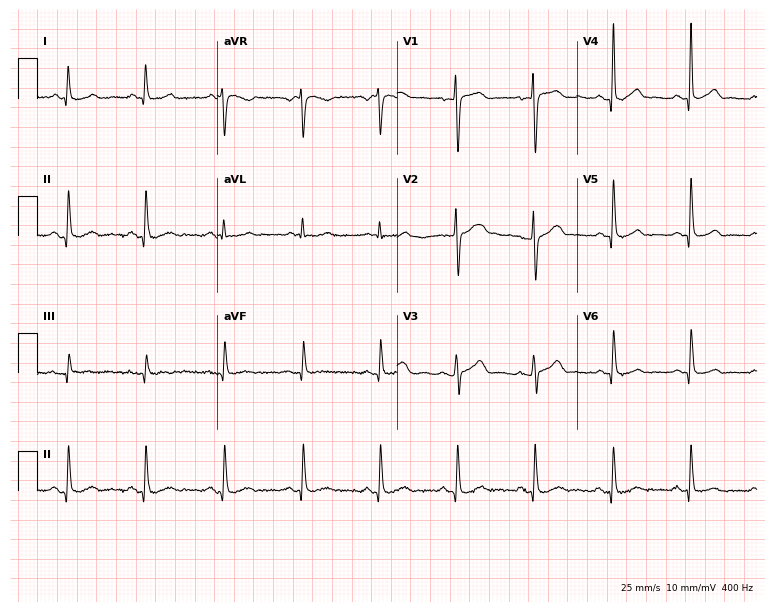
12-lead ECG from a woman, 46 years old (7.3-second recording at 400 Hz). No first-degree AV block, right bundle branch block, left bundle branch block, sinus bradycardia, atrial fibrillation or sinus tachycardia recorded for this tracing. Only these six findings were labelled.